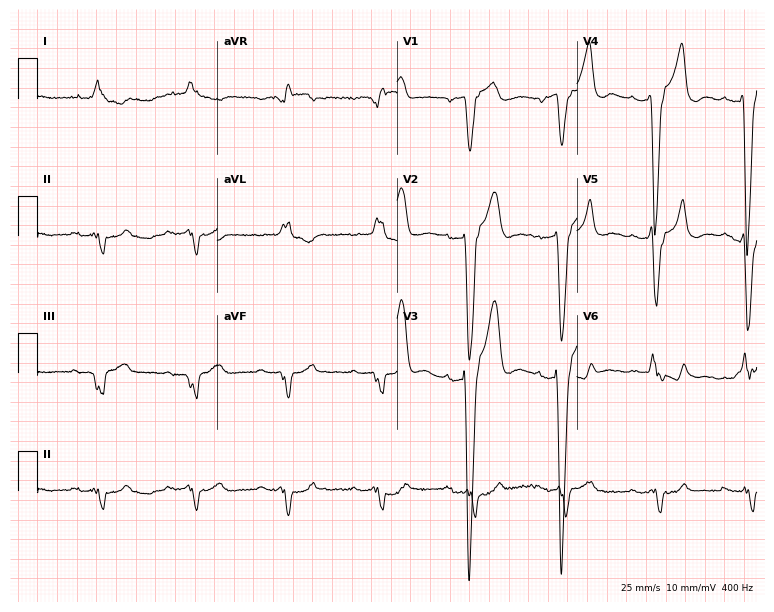
Electrocardiogram (7.3-second recording at 400 Hz), an 85-year-old man. Interpretation includes left bundle branch block.